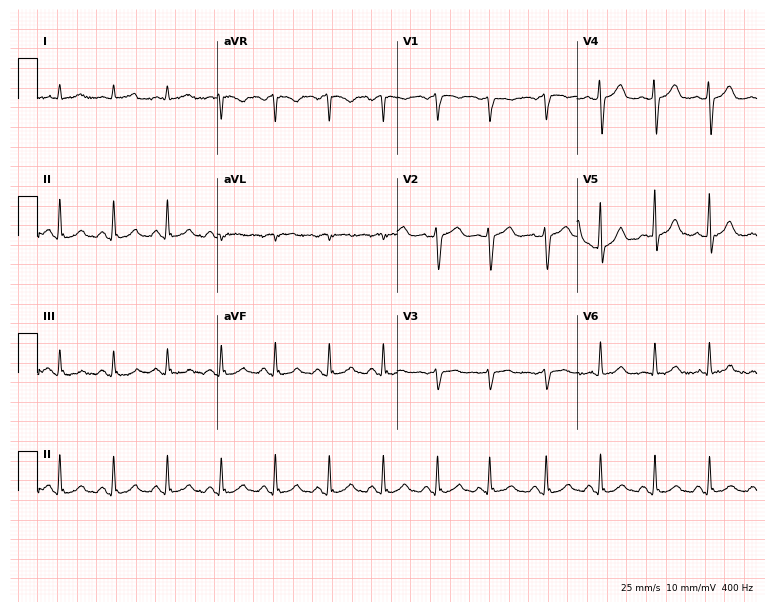
12-lead ECG (7.3-second recording at 400 Hz) from a 63-year-old male. Findings include sinus tachycardia (a sinus rate of 100 beats per minute or more).